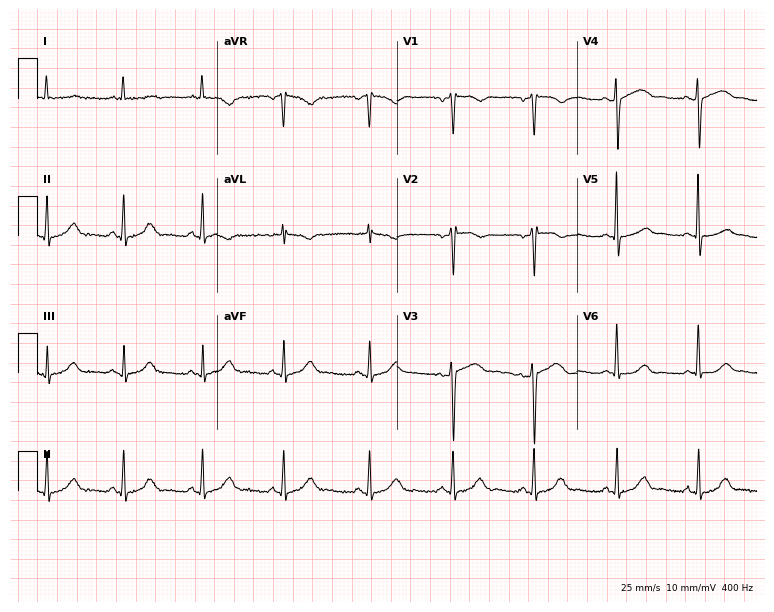
12-lead ECG (7.3-second recording at 400 Hz) from a woman, 53 years old. Screened for six findings — first-degree AV block, right bundle branch block, left bundle branch block, sinus bradycardia, atrial fibrillation, sinus tachycardia — none is recorded. Only these six findings were labelled.